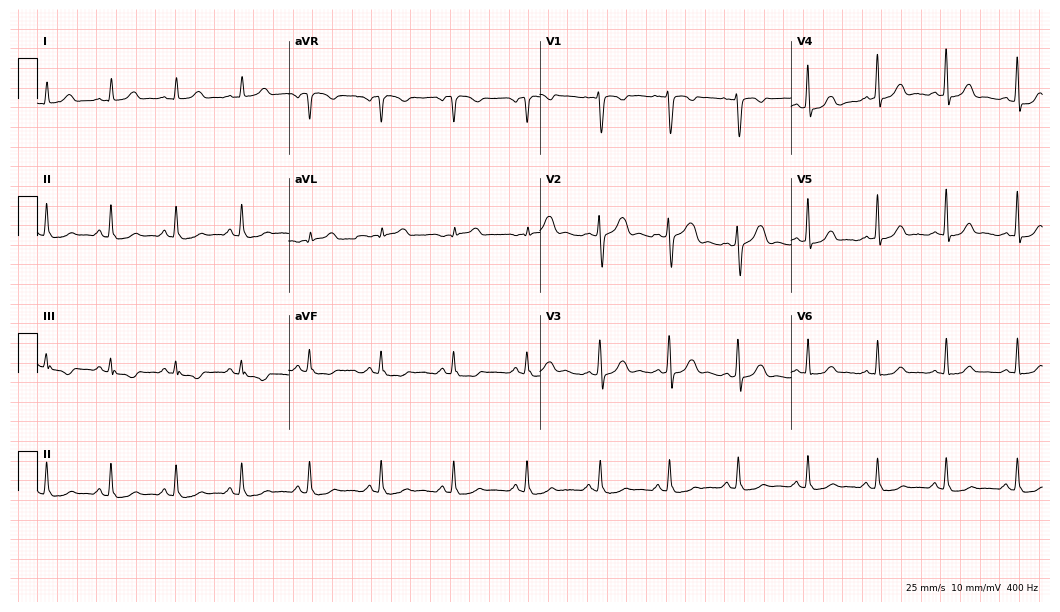
12-lead ECG from a 24-year-old woman. Labelled as a normal ECG.